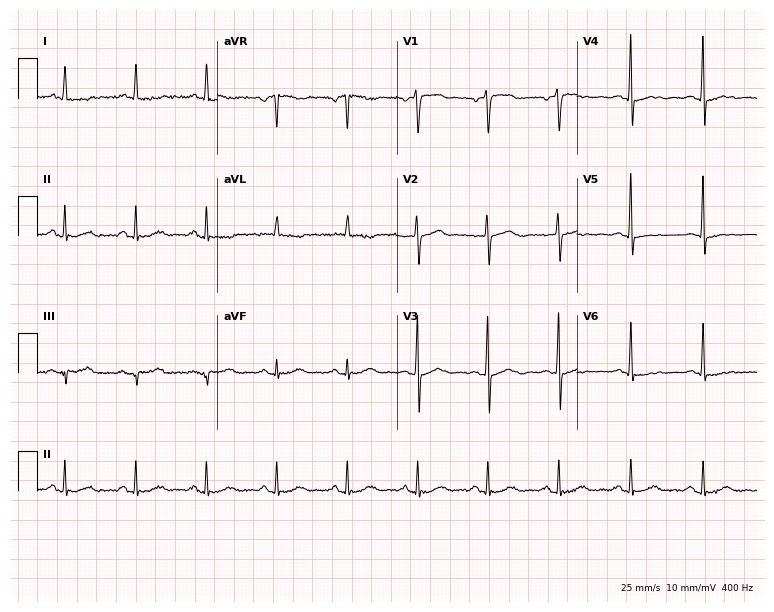
Electrocardiogram, a male, 63 years old. Of the six screened findings (first-degree AV block, right bundle branch block (RBBB), left bundle branch block (LBBB), sinus bradycardia, atrial fibrillation (AF), sinus tachycardia), none is recorded.